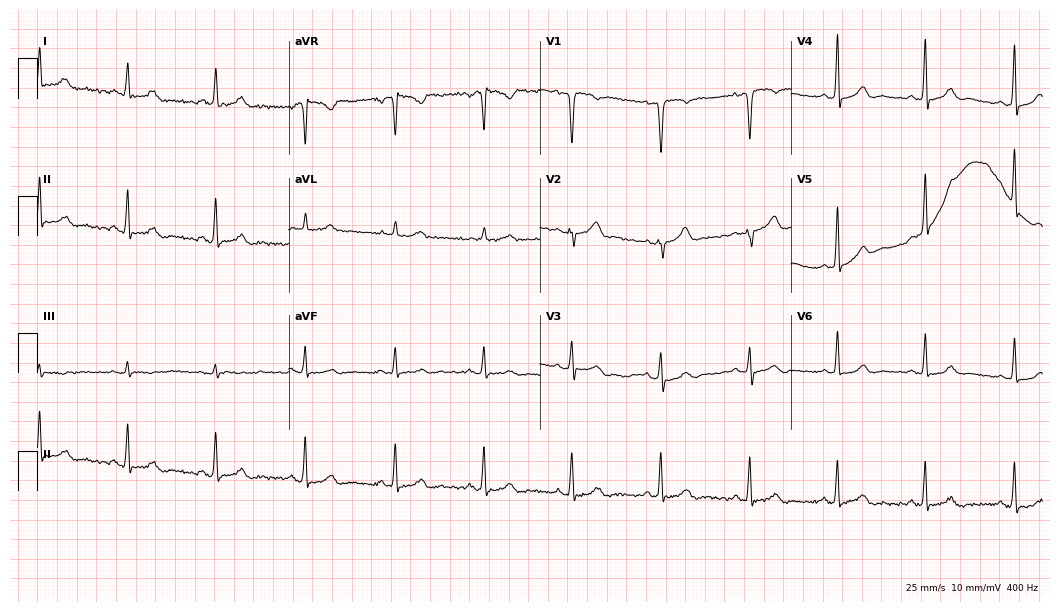
Resting 12-lead electrocardiogram. Patient: a female, 61 years old. None of these six findings is recorded: first-degree AV block, right bundle branch block, left bundle branch block, sinus bradycardia, atrial fibrillation, sinus tachycardia.